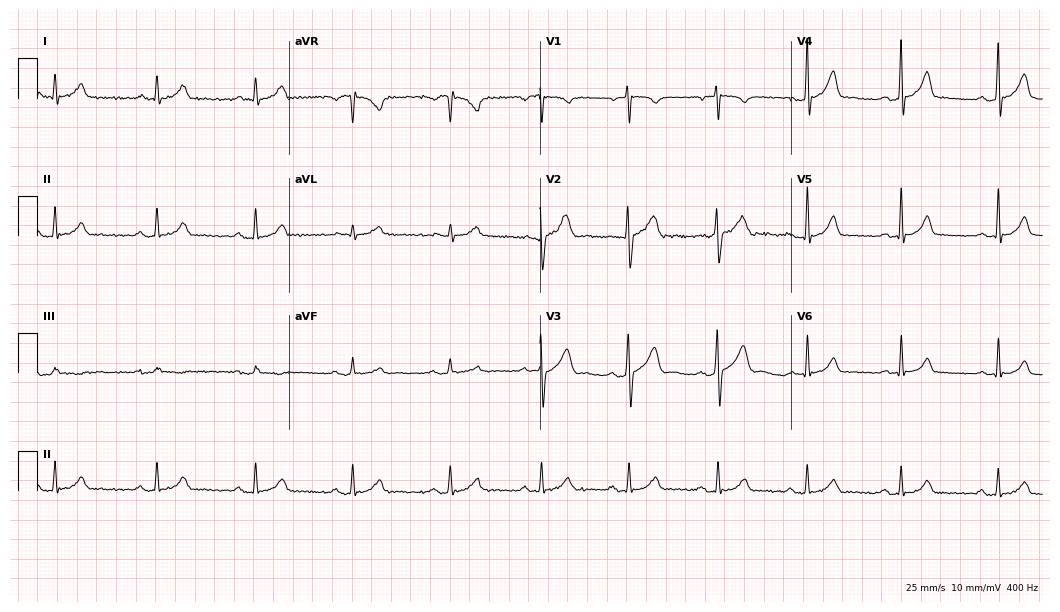
Resting 12-lead electrocardiogram. Patient: a 55-year-old male. None of these six findings is recorded: first-degree AV block, right bundle branch block, left bundle branch block, sinus bradycardia, atrial fibrillation, sinus tachycardia.